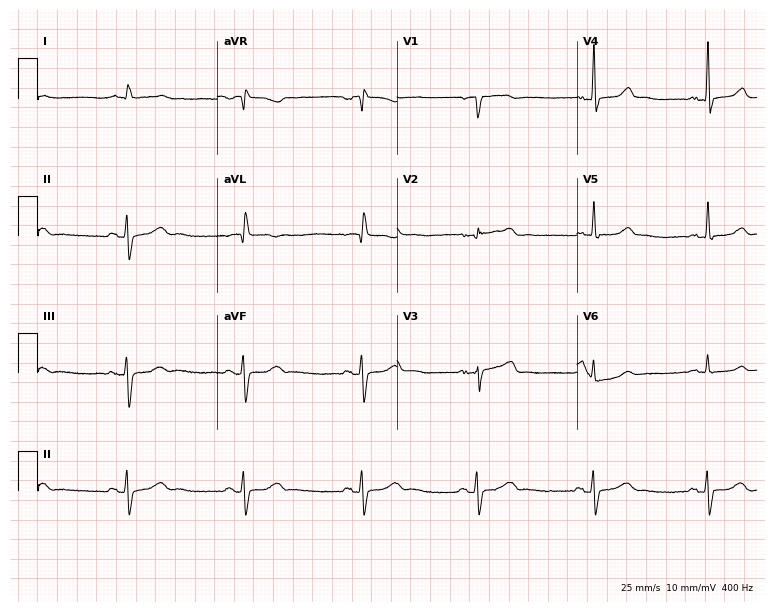
Electrocardiogram, an 81-year-old male patient. Of the six screened findings (first-degree AV block, right bundle branch block, left bundle branch block, sinus bradycardia, atrial fibrillation, sinus tachycardia), none is recorded.